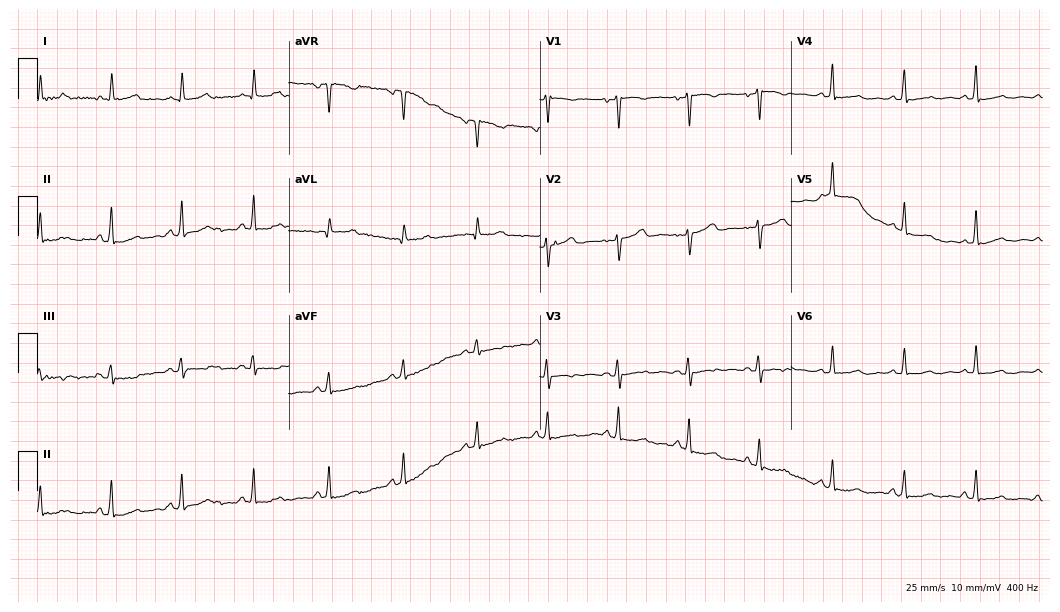
ECG — a female patient, 44 years old. Screened for six findings — first-degree AV block, right bundle branch block, left bundle branch block, sinus bradycardia, atrial fibrillation, sinus tachycardia — none is recorded.